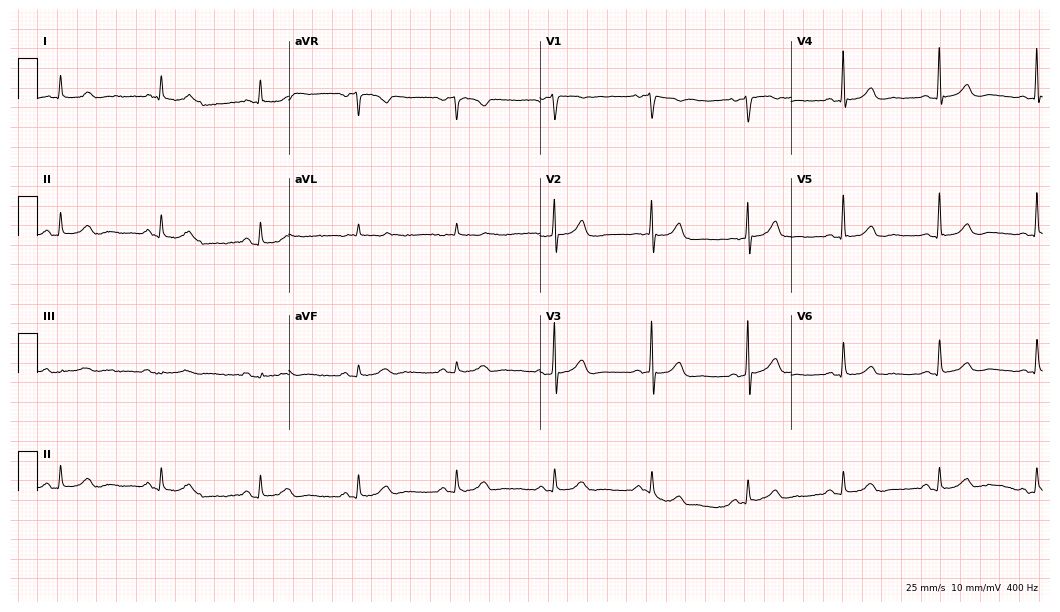
12-lead ECG from a male patient, 81 years old. Recorded interpretation: within normal limits.